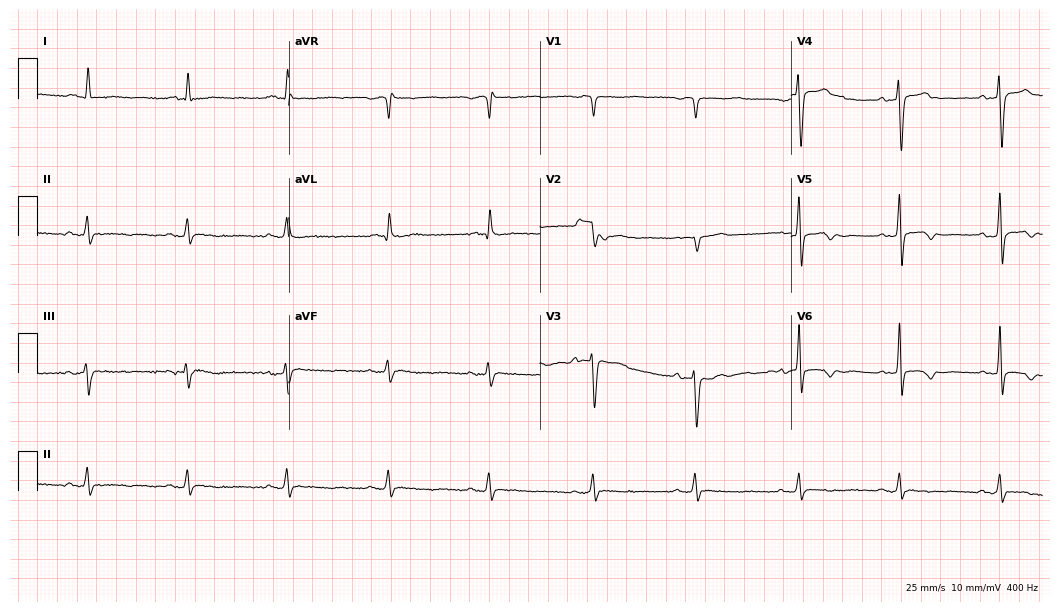
Resting 12-lead electrocardiogram. Patient: a 55-year-old female. None of these six findings is recorded: first-degree AV block, right bundle branch block (RBBB), left bundle branch block (LBBB), sinus bradycardia, atrial fibrillation (AF), sinus tachycardia. Findings outside these six are not listed.